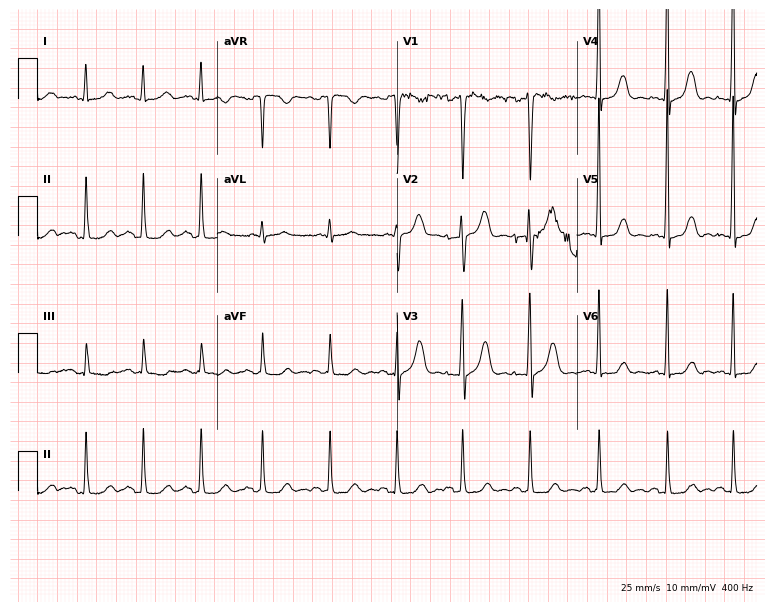
Standard 12-lead ECG recorded from a 31-year-old male patient. Read as a normal ECG.